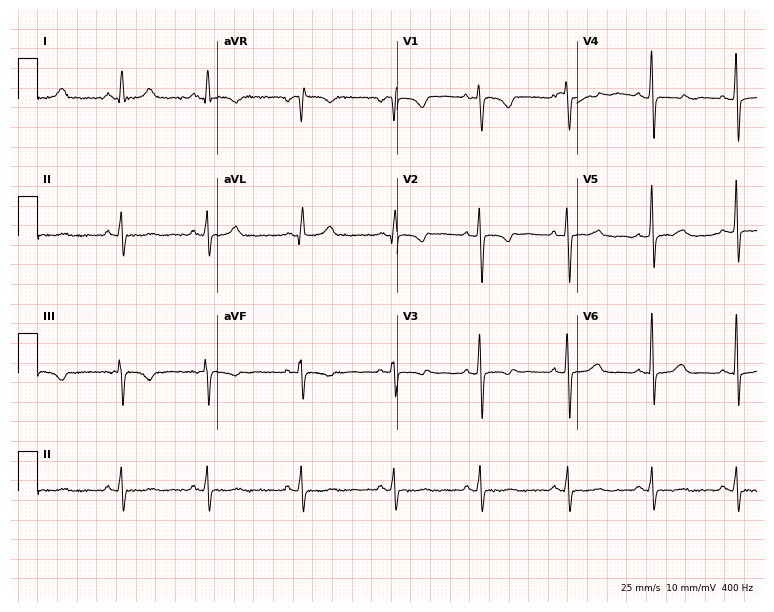
ECG (7.3-second recording at 400 Hz) — a 24-year-old female patient. Screened for six findings — first-degree AV block, right bundle branch block, left bundle branch block, sinus bradycardia, atrial fibrillation, sinus tachycardia — none is recorded.